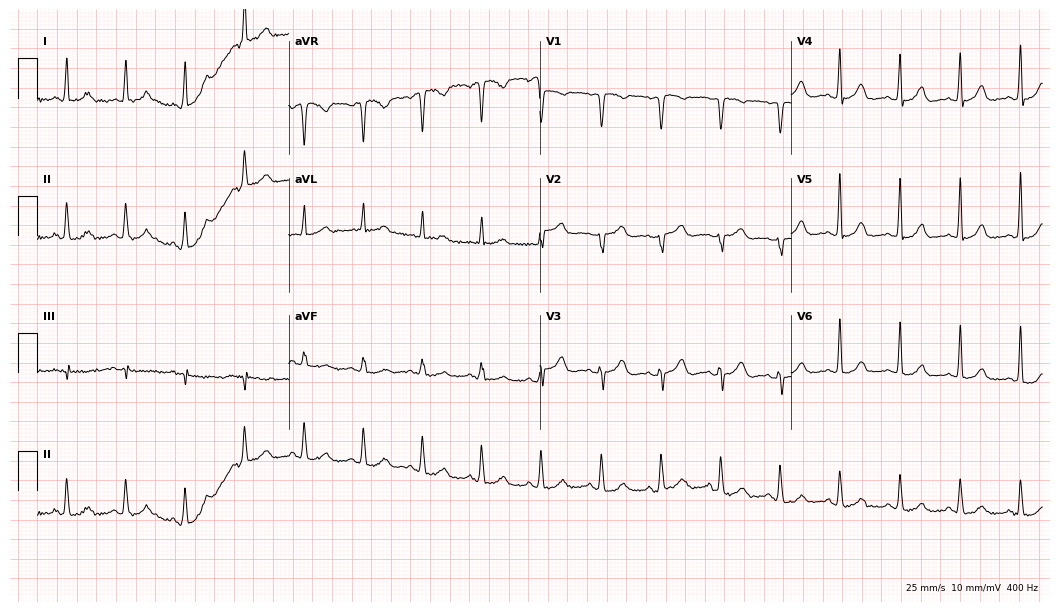
Resting 12-lead electrocardiogram. Patient: a female, 53 years old. None of these six findings is recorded: first-degree AV block, right bundle branch block, left bundle branch block, sinus bradycardia, atrial fibrillation, sinus tachycardia.